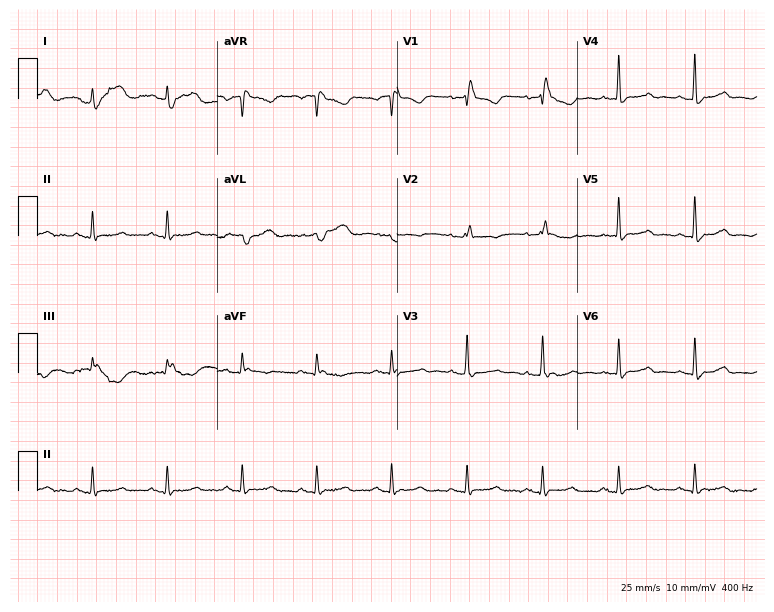
Resting 12-lead electrocardiogram. Patient: a 66-year-old woman. The tracing shows right bundle branch block.